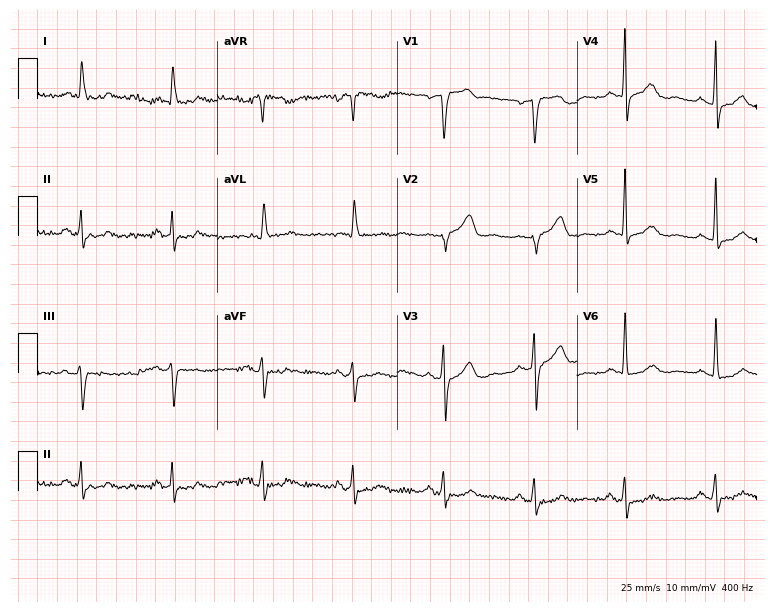
12-lead ECG from an 82-year-old man. Screened for six findings — first-degree AV block, right bundle branch block, left bundle branch block, sinus bradycardia, atrial fibrillation, sinus tachycardia — none is recorded. Findings outside these six are not listed.